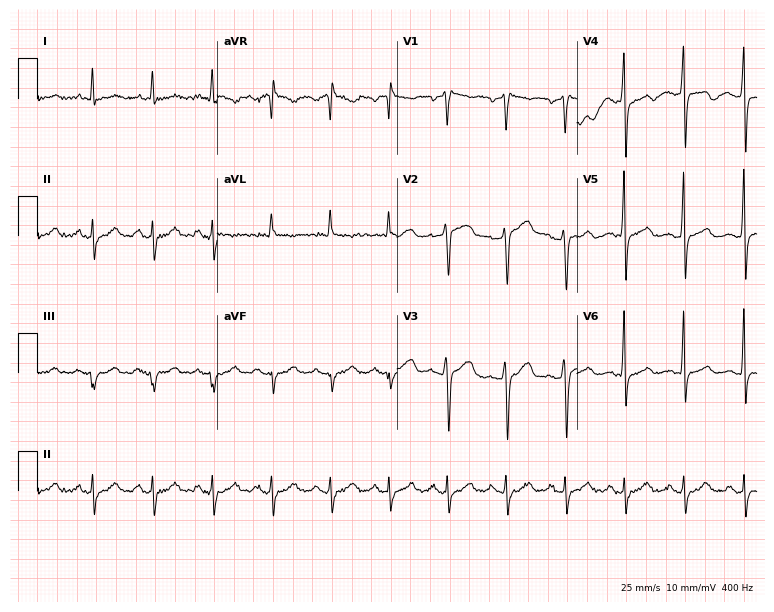
Standard 12-lead ECG recorded from a man, 58 years old. None of these six findings is recorded: first-degree AV block, right bundle branch block (RBBB), left bundle branch block (LBBB), sinus bradycardia, atrial fibrillation (AF), sinus tachycardia. Findings outside these six are not listed.